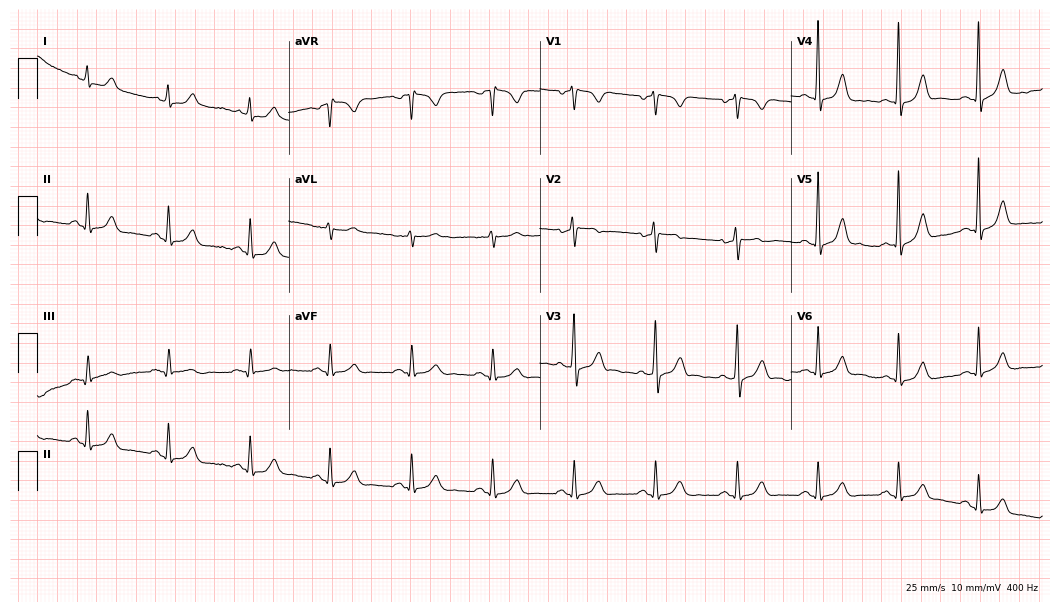
12-lead ECG from a 56-year-old man. Labelled as a normal ECG.